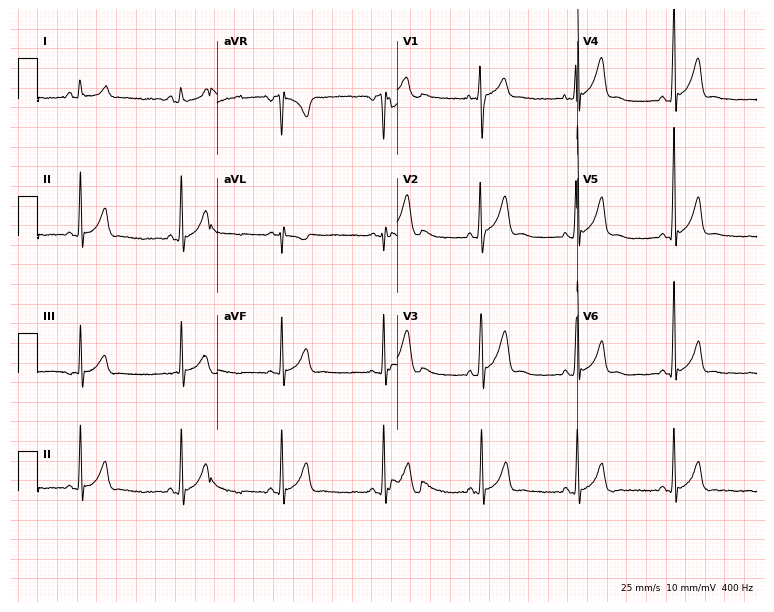
12-lead ECG from a male, 19 years old. Labelled as a normal ECG.